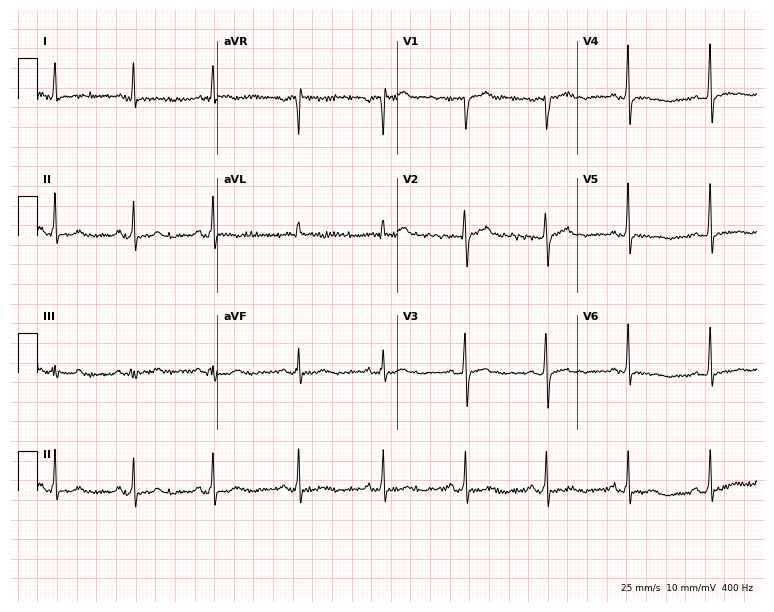
12-lead ECG (7.3-second recording at 400 Hz) from a 56-year-old woman. Screened for six findings — first-degree AV block, right bundle branch block, left bundle branch block, sinus bradycardia, atrial fibrillation, sinus tachycardia — none is recorded.